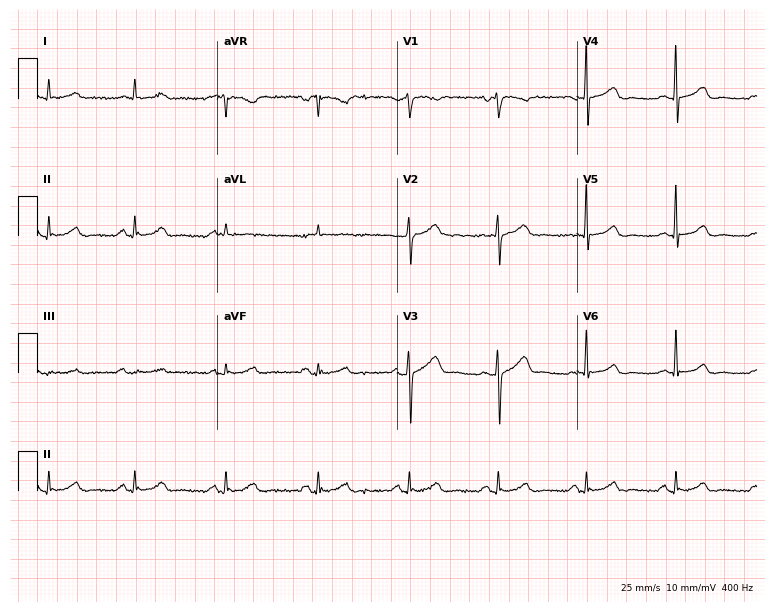
12-lead ECG (7.3-second recording at 400 Hz) from a 51-year-old male. Labelled as a normal ECG.